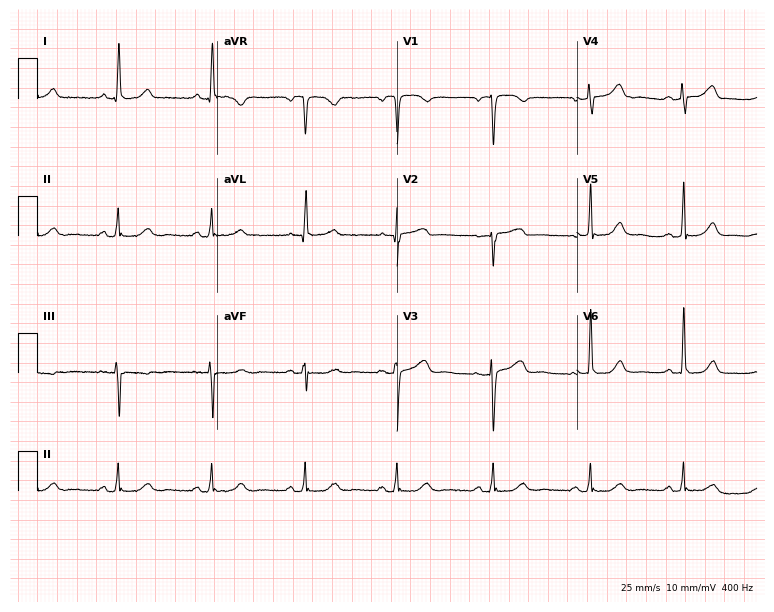
ECG — a female patient, 51 years old. Screened for six findings — first-degree AV block, right bundle branch block, left bundle branch block, sinus bradycardia, atrial fibrillation, sinus tachycardia — none is recorded.